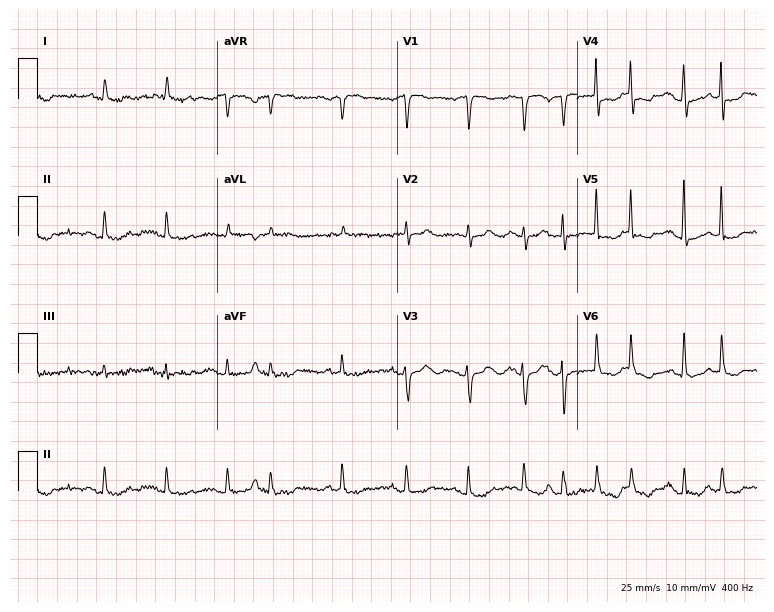
12-lead ECG from a woman, 82 years old. Shows atrial fibrillation, sinus tachycardia (a sinus rate of 100 beats per minute or more).